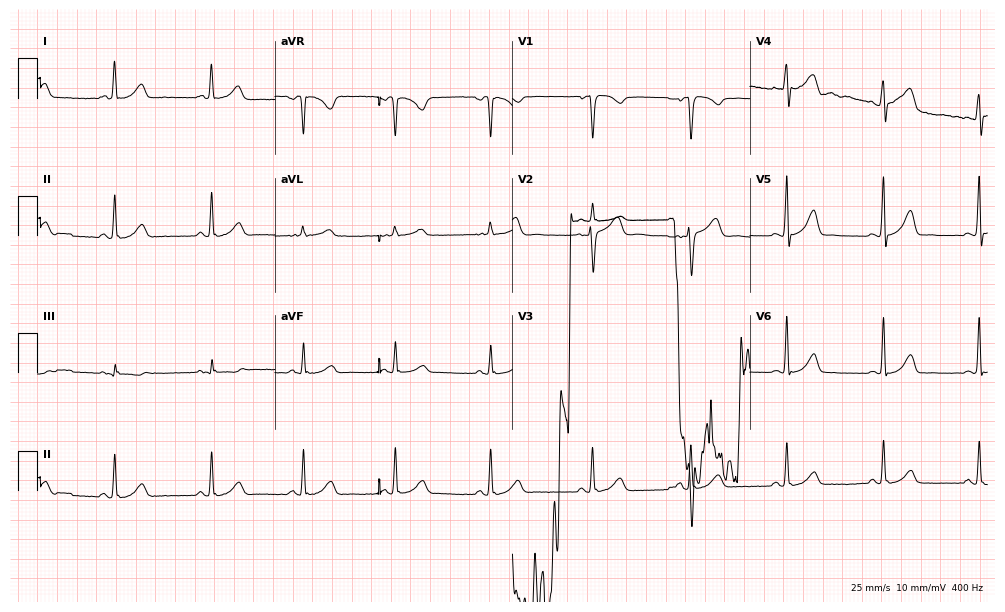
12-lead ECG from a 42-year-old female. No first-degree AV block, right bundle branch block, left bundle branch block, sinus bradycardia, atrial fibrillation or sinus tachycardia recorded for this tracing. Findings outside these six are not listed.